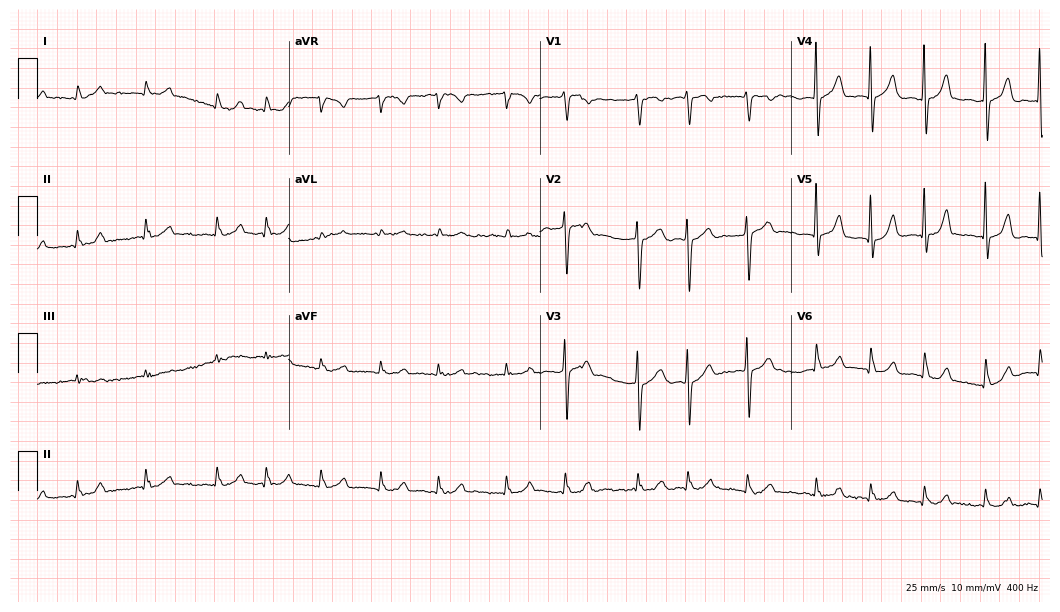
ECG (10.2-second recording at 400 Hz) — an 80-year-old female. Findings include atrial fibrillation (AF).